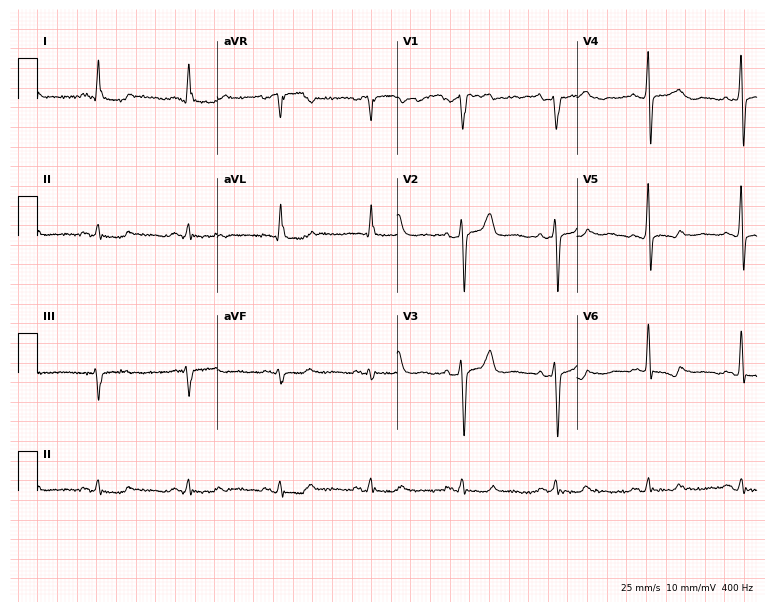
12-lead ECG (7.3-second recording at 400 Hz) from a male, 61 years old. Screened for six findings — first-degree AV block, right bundle branch block (RBBB), left bundle branch block (LBBB), sinus bradycardia, atrial fibrillation (AF), sinus tachycardia — none is recorded.